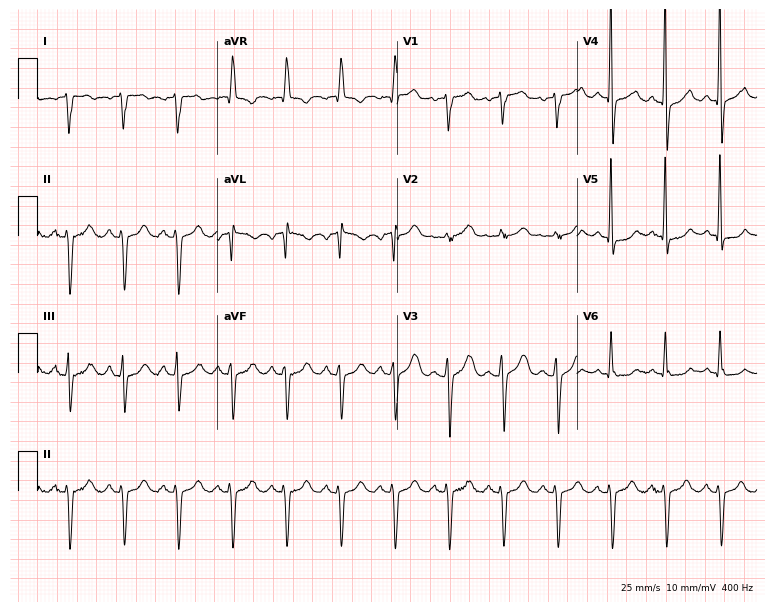
Resting 12-lead electrocardiogram. Patient: a female, 84 years old. None of these six findings is recorded: first-degree AV block, right bundle branch block, left bundle branch block, sinus bradycardia, atrial fibrillation, sinus tachycardia.